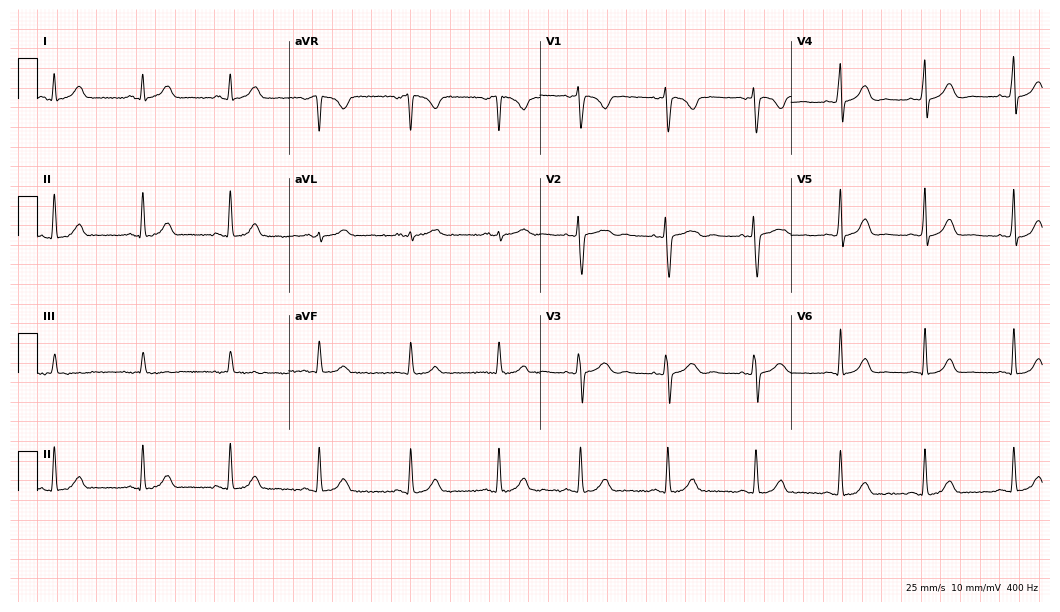
Electrocardiogram, a 25-year-old woman. Of the six screened findings (first-degree AV block, right bundle branch block (RBBB), left bundle branch block (LBBB), sinus bradycardia, atrial fibrillation (AF), sinus tachycardia), none is recorded. Other findings, if any, are not listed.